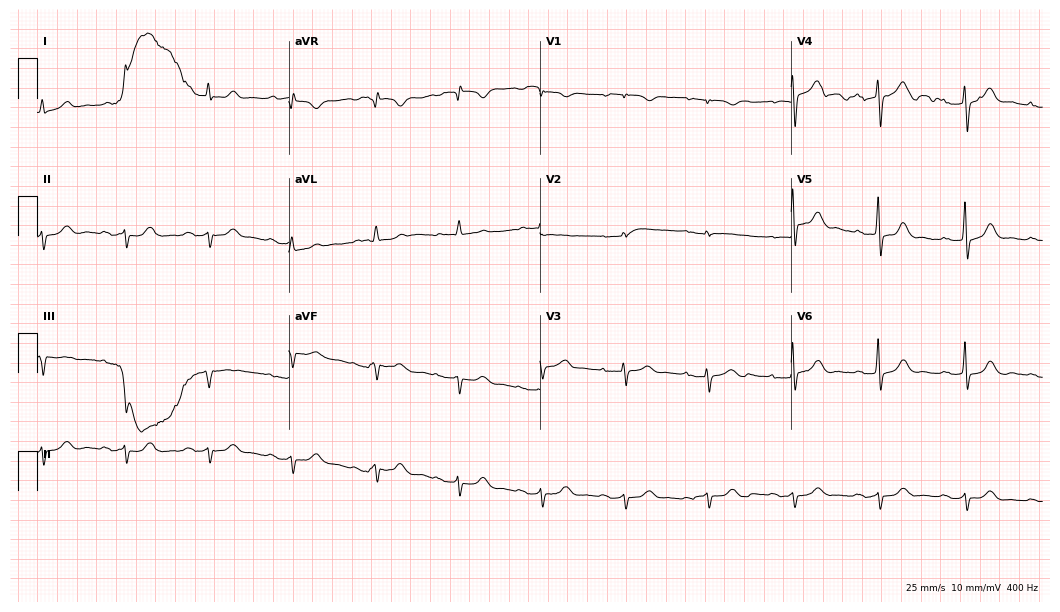
Standard 12-lead ECG recorded from an 80-year-old woman (10.2-second recording at 400 Hz). The tracing shows first-degree AV block.